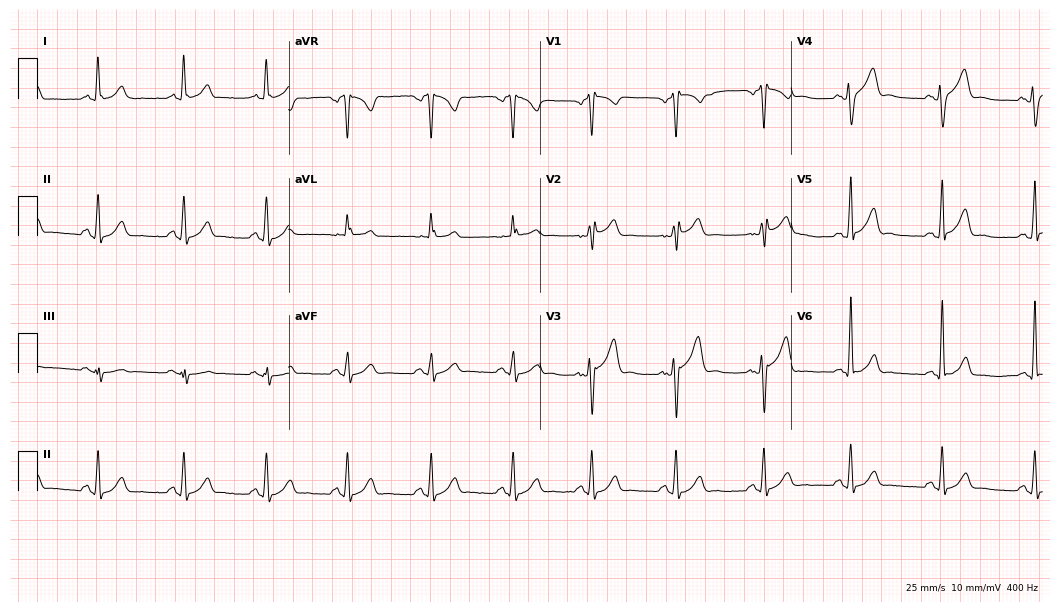
12-lead ECG from a male, 35 years old. Screened for six findings — first-degree AV block, right bundle branch block, left bundle branch block, sinus bradycardia, atrial fibrillation, sinus tachycardia — none is recorded. Findings outside these six are not listed.